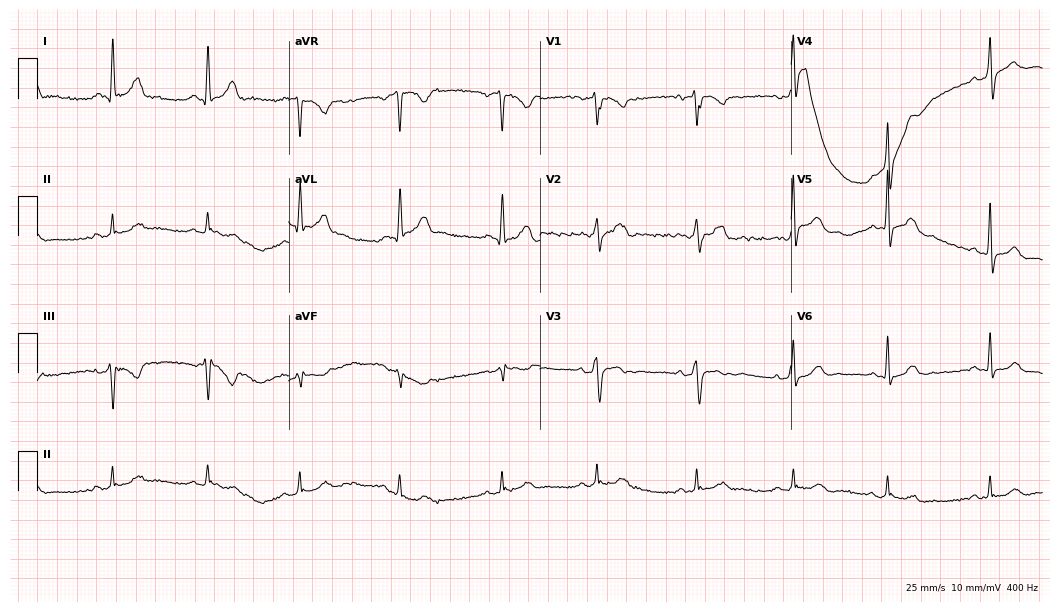
Resting 12-lead electrocardiogram. Patient: a 49-year-old man. None of these six findings is recorded: first-degree AV block, right bundle branch block (RBBB), left bundle branch block (LBBB), sinus bradycardia, atrial fibrillation (AF), sinus tachycardia. Findings outside these six are not listed.